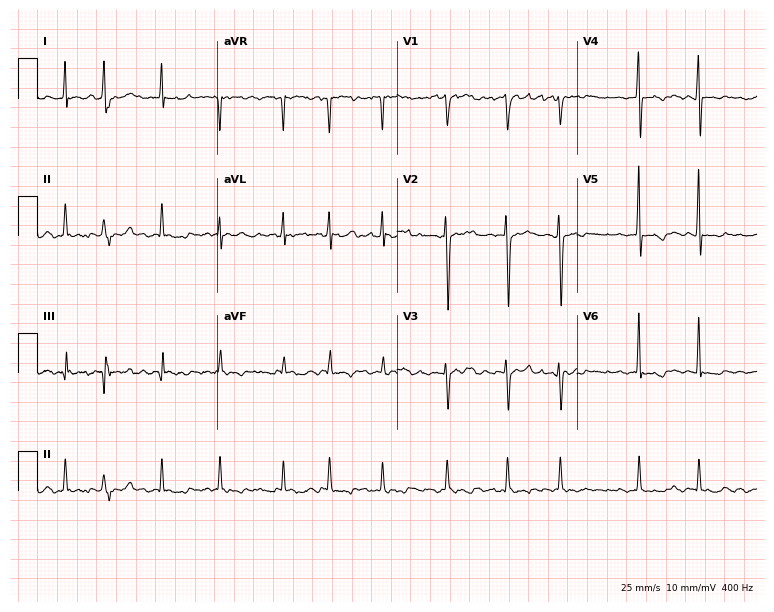
Resting 12-lead electrocardiogram (7.3-second recording at 400 Hz). Patient: a 65-year-old male. None of these six findings is recorded: first-degree AV block, right bundle branch block, left bundle branch block, sinus bradycardia, atrial fibrillation, sinus tachycardia.